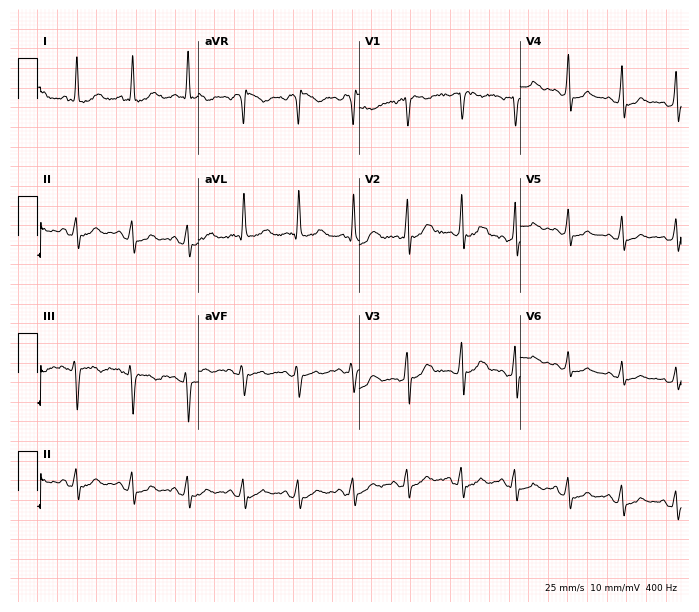
Resting 12-lead electrocardiogram (6.6-second recording at 400 Hz). Patient: a woman, 48 years old. None of these six findings is recorded: first-degree AV block, right bundle branch block, left bundle branch block, sinus bradycardia, atrial fibrillation, sinus tachycardia. Other findings, if any, are not listed.